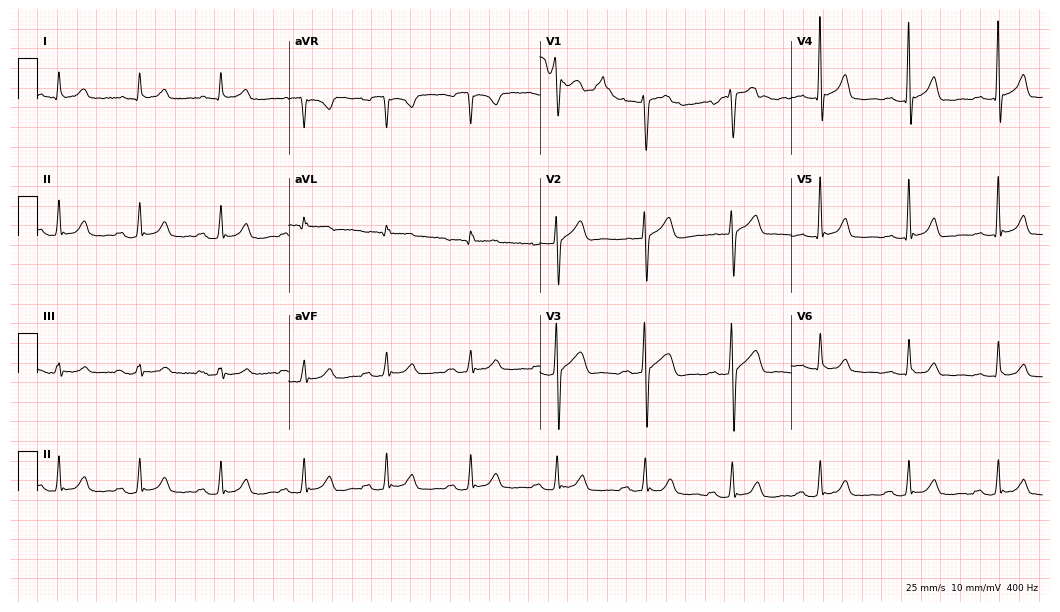
12-lead ECG from a man, 62 years old. Recorded interpretation: within normal limits.